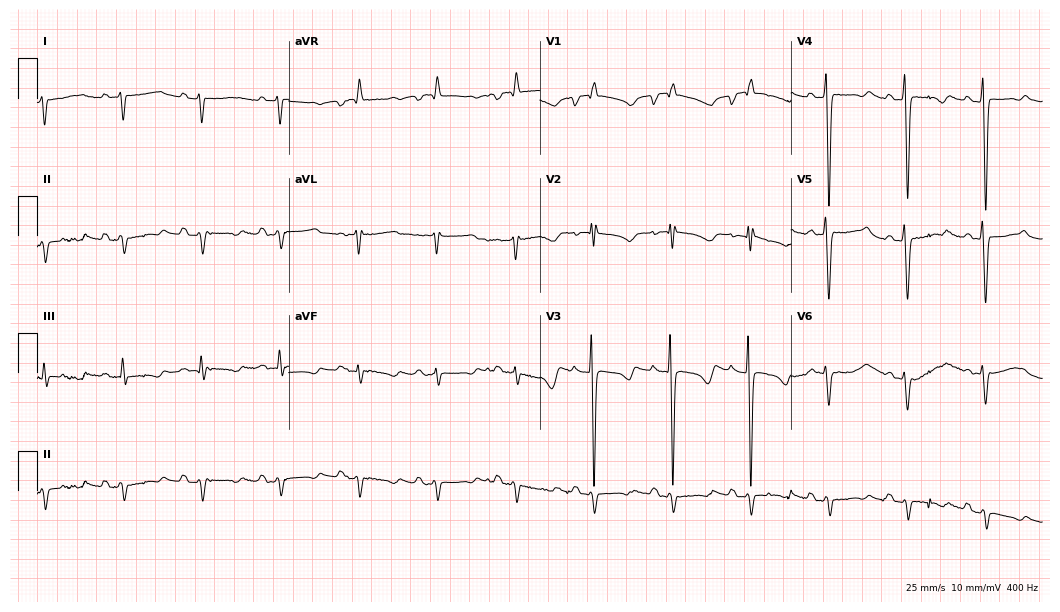
ECG — a 58-year-old woman. Screened for six findings — first-degree AV block, right bundle branch block, left bundle branch block, sinus bradycardia, atrial fibrillation, sinus tachycardia — none is recorded.